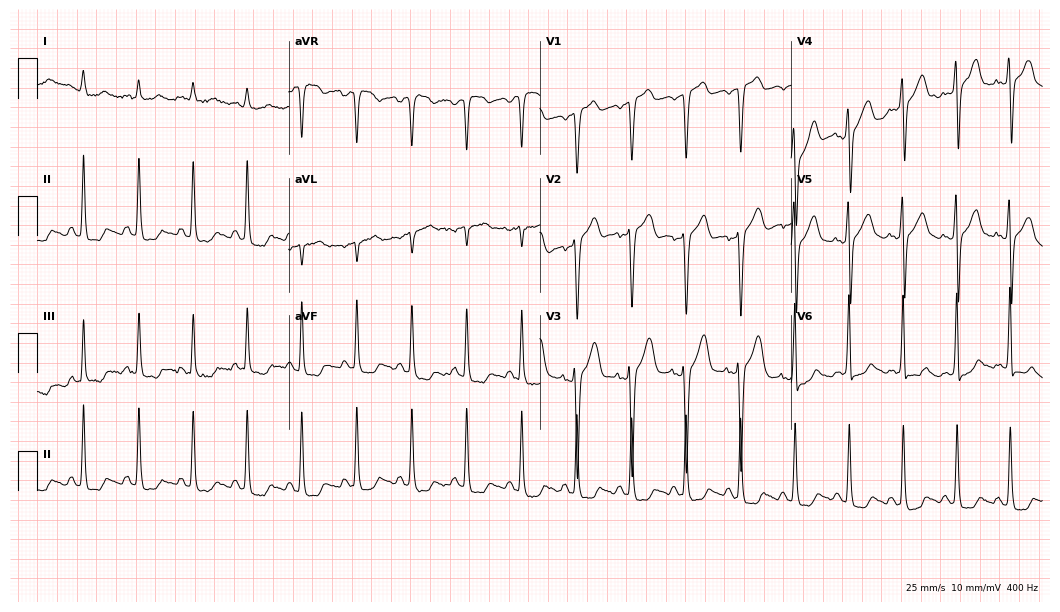
Electrocardiogram, a 55-year-old man. Interpretation includes sinus tachycardia (a sinus rate of 100 beats per minute or more).